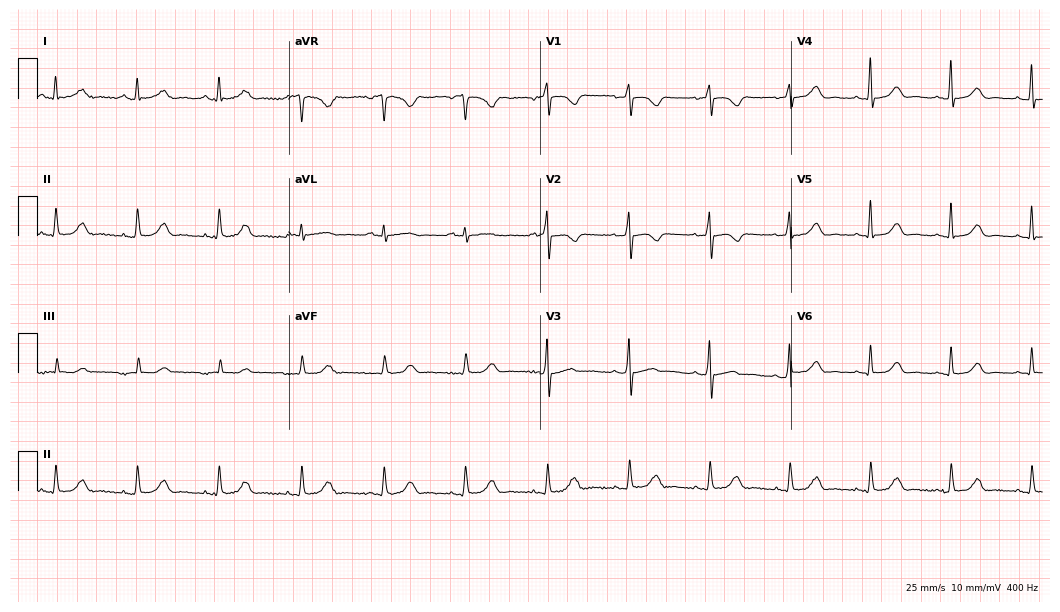
Electrocardiogram (10.2-second recording at 400 Hz), a 70-year-old woman. Of the six screened findings (first-degree AV block, right bundle branch block (RBBB), left bundle branch block (LBBB), sinus bradycardia, atrial fibrillation (AF), sinus tachycardia), none is recorded. Findings outside these six are not listed.